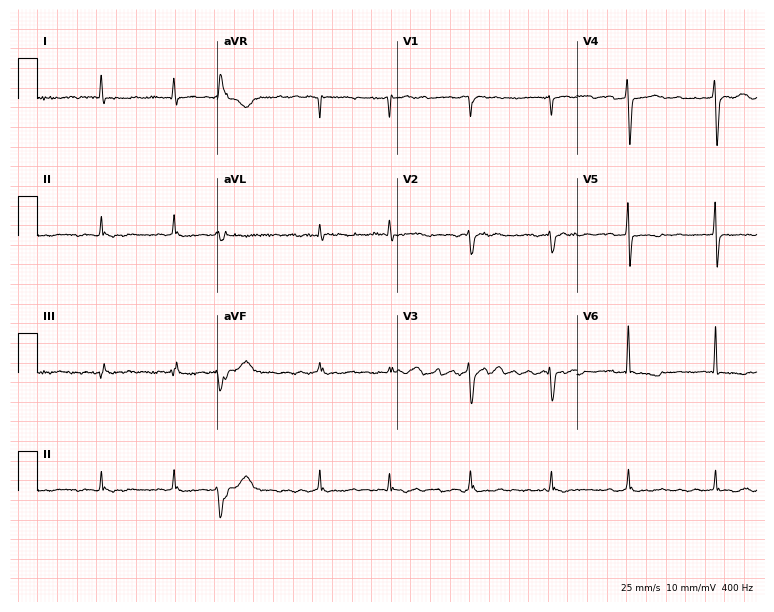
ECG (7.3-second recording at 400 Hz) — a 76-year-old female. Findings include atrial fibrillation.